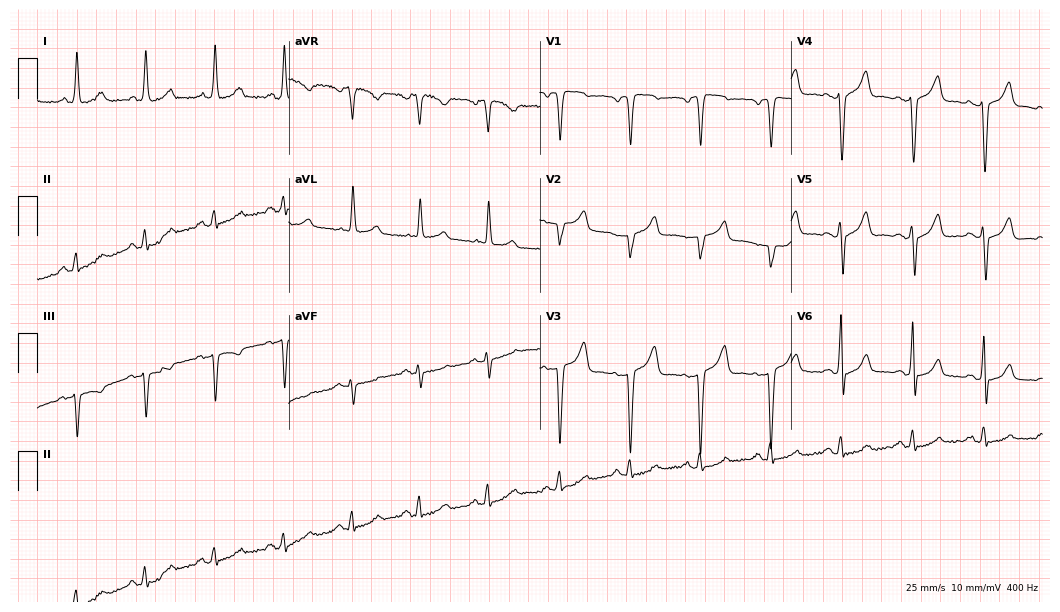
Resting 12-lead electrocardiogram. Patient: an 80-year-old male. Read as a normal ECG.